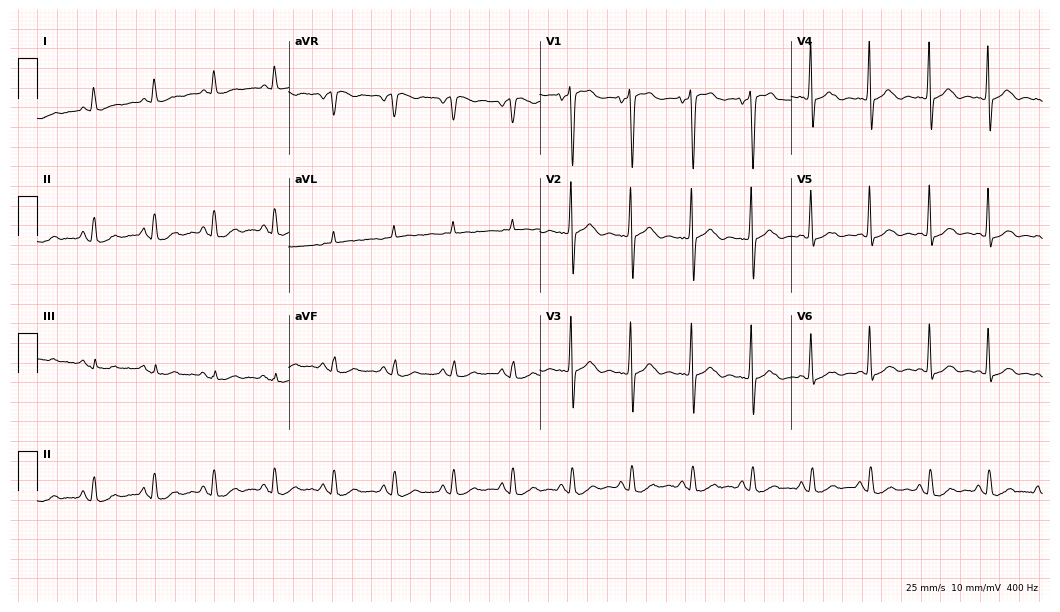
12-lead ECG (10.2-second recording at 400 Hz) from a male patient, 74 years old. Screened for six findings — first-degree AV block, right bundle branch block, left bundle branch block, sinus bradycardia, atrial fibrillation, sinus tachycardia — none is recorded.